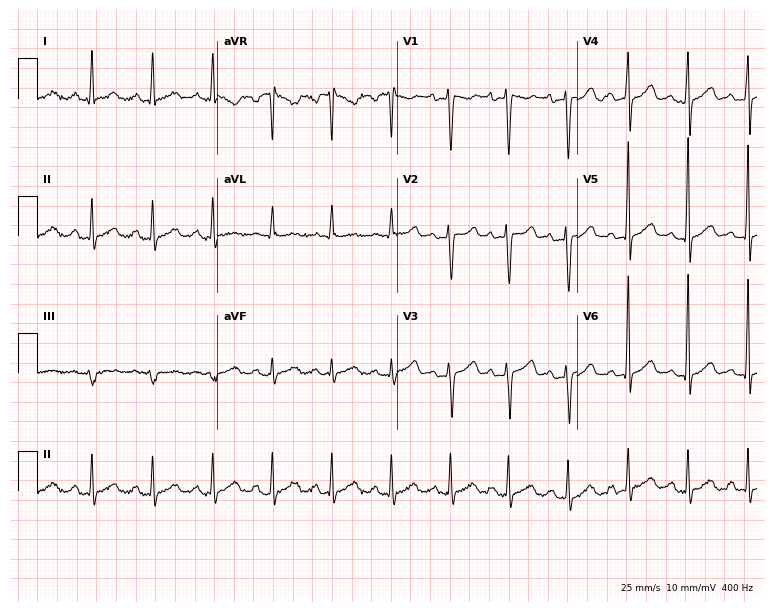
Resting 12-lead electrocardiogram. Patient: a woman, 26 years old. Read as a normal ECG.